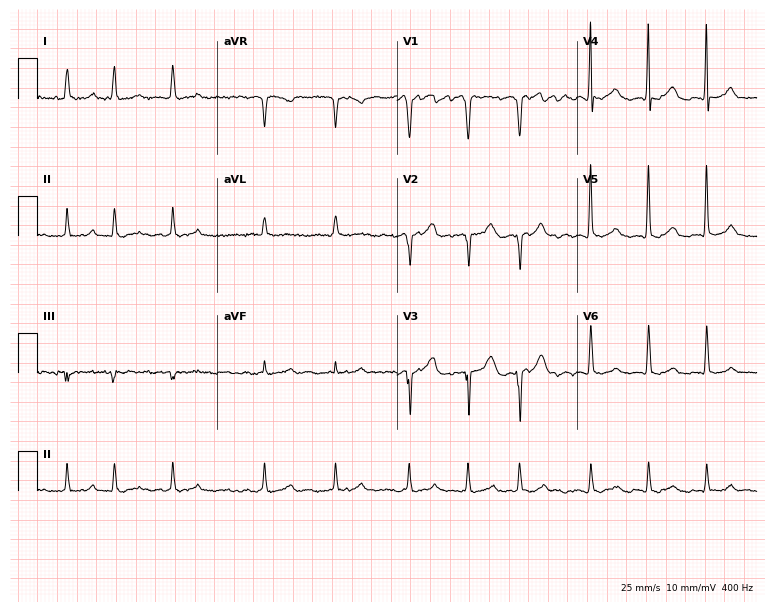
12-lead ECG from a 75-year-old female patient. Shows atrial fibrillation (AF).